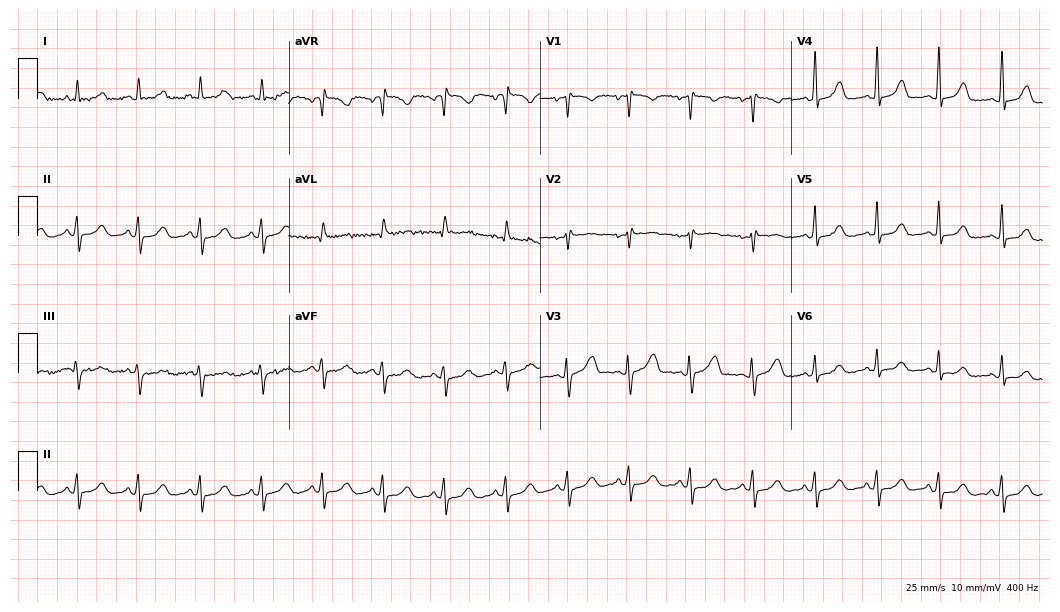
Resting 12-lead electrocardiogram. Patient: a female, 39 years old. None of these six findings is recorded: first-degree AV block, right bundle branch block, left bundle branch block, sinus bradycardia, atrial fibrillation, sinus tachycardia.